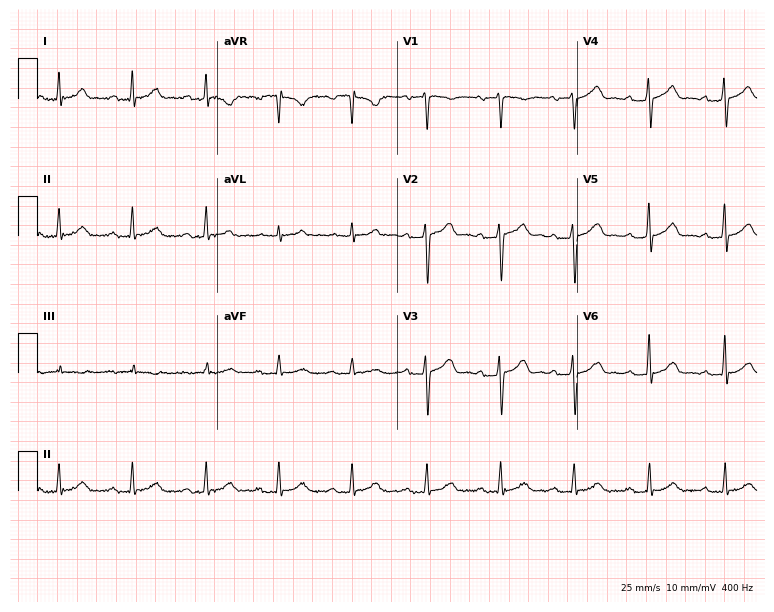
Resting 12-lead electrocardiogram. Patient: a man, 63 years old. None of these six findings is recorded: first-degree AV block, right bundle branch block (RBBB), left bundle branch block (LBBB), sinus bradycardia, atrial fibrillation (AF), sinus tachycardia. Findings outside these six are not listed.